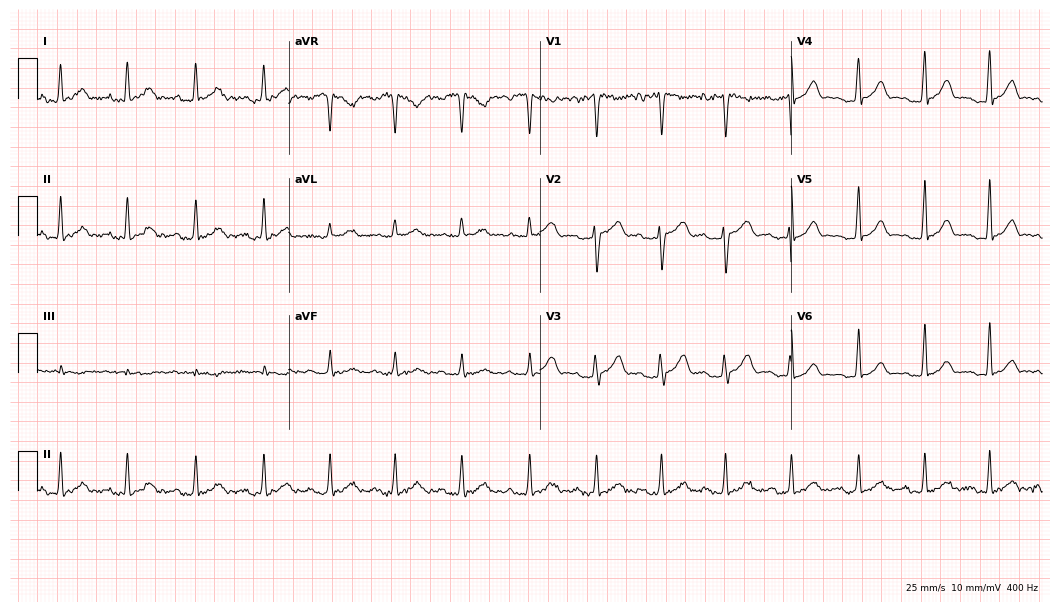
Electrocardiogram (10.2-second recording at 400 Hz), a woman, 25 years old. Of the six screened findings (first-degree AV block, right bundle branch block, left bundle branch block, sinus bradycardia, atrial fibrillation, sinus tachycardia), none is recorded. Only these six findings were labelled.